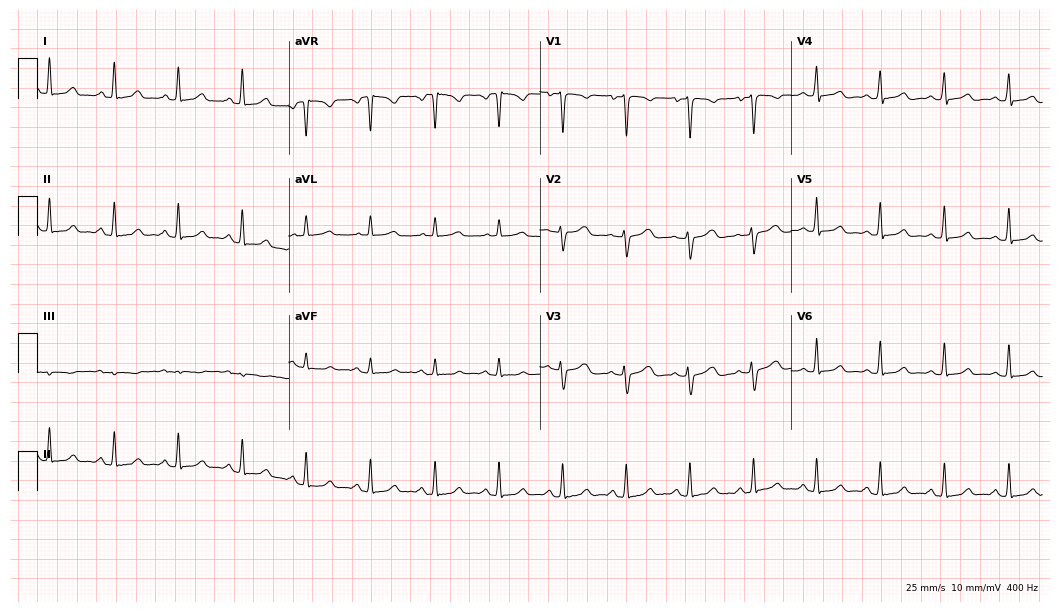
12-lead ECG from a woman, 33 years old. No first-degree AV block, right bundle branch block, left bundle branch block, sinus bradycardia, atrial fibrillation or sinus tachycardia recorded for this tracing. Only these six findings were labelled.